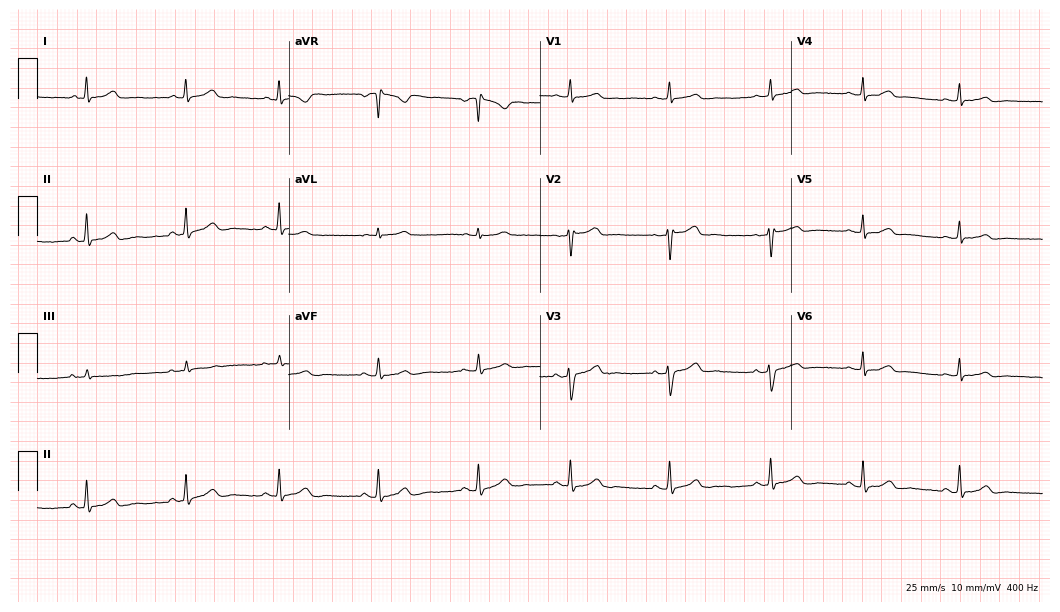
ECG (10.2-second recording at 400 Hz) — a 31-year-old female. Labelled as a normal ECG.